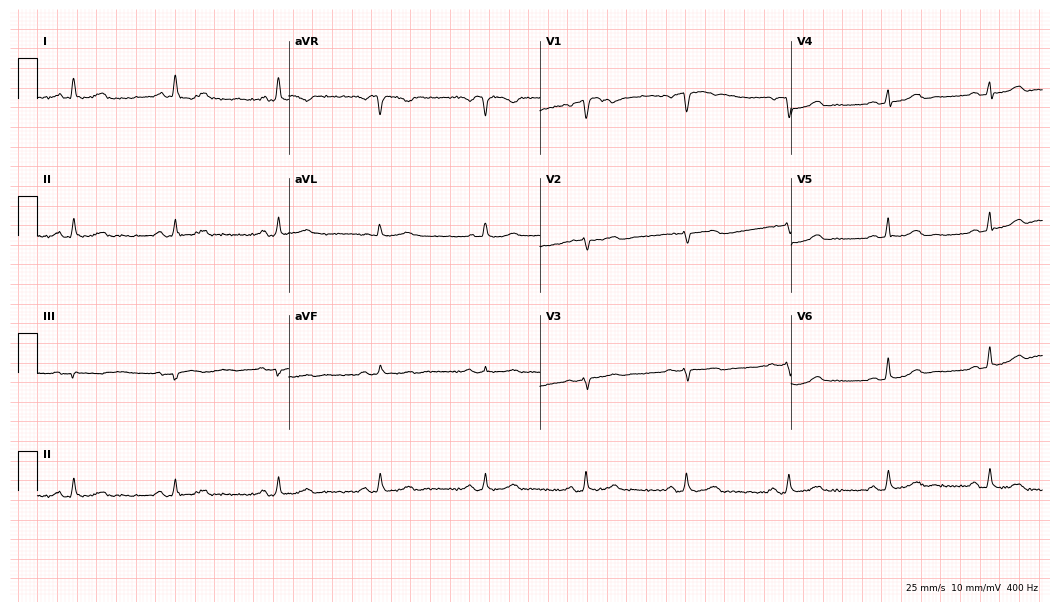
Resting 12-lead electrocardiogram (10.2-second recording at 400 Hz). Patient: a woman, 69 years old. None of these six findings is recorded: first-degree AV block, right bundle branch block (RBBB), left bundle branch block (LBBB), sinus bradycardia, atrial fibrillation (AF), sinus tachycardia.